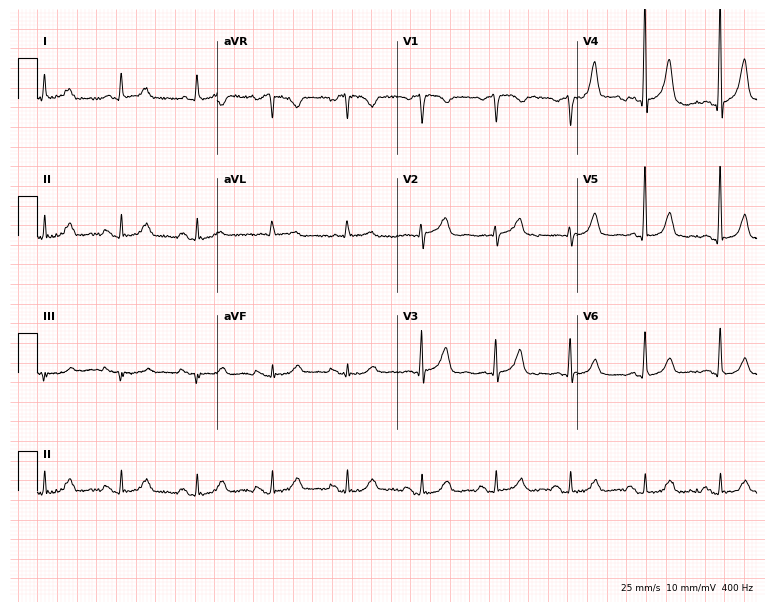
Resting 12-lead electrocardiogram. Patient: a 67-year-old male. None of these six findings is recorded: first-degree AV block, right bundle branch block, left bundle branch block, sinus bradycardia, atrial fibrillation, sinus tachycardia. Other findings, if any, are not listed.